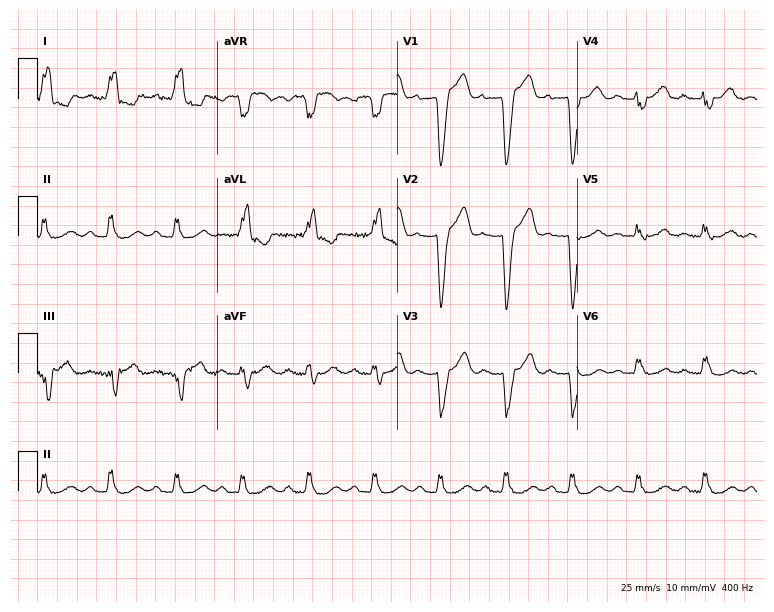
12-lead ECG from a 71-year-old male patient (7.3-second recording at 400 Hz). Shows first-degree AV block, left bundle branch block.